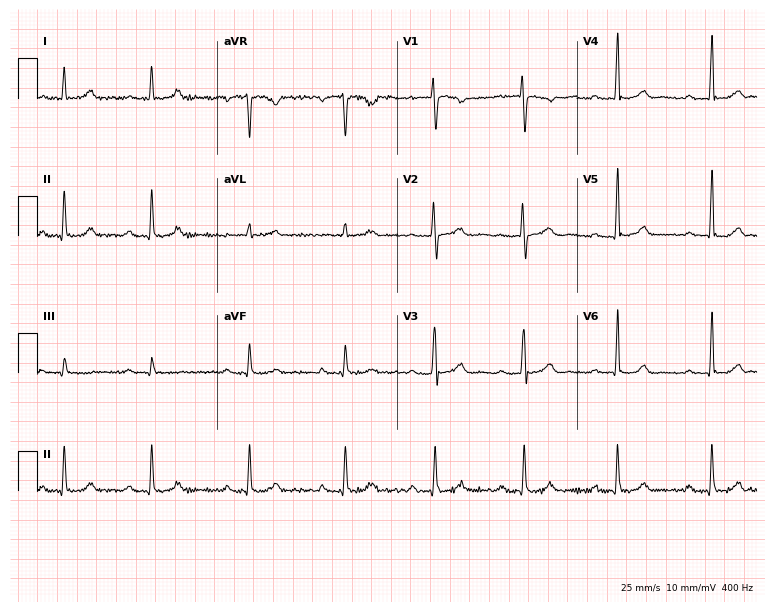
Standard 12-lead ECG recorded from a woman, 38 years old. None of these six findings is recorded: first-degree AV block, right bundle branch block, left bundle branch block, sinus bradycardia, atrial fibrillation, sinus tachycardia.